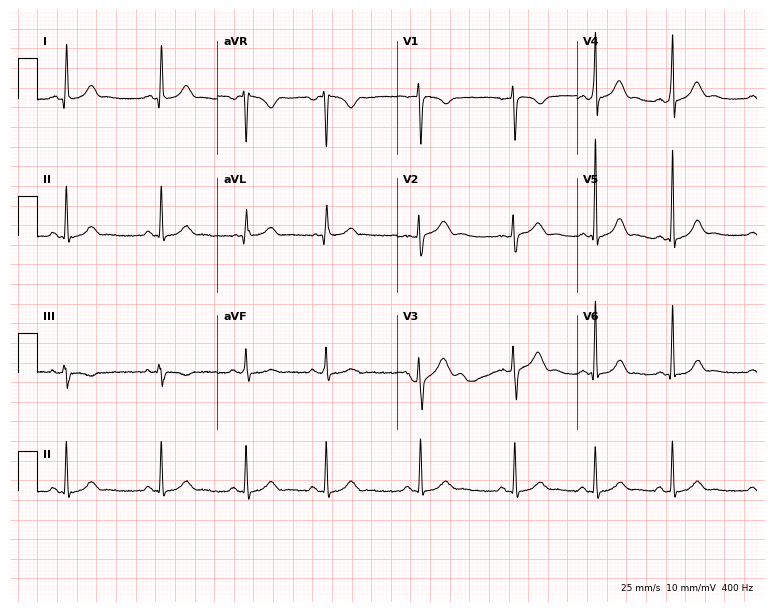
12-lead ECG from a 23-year-old woman. Screened for six findings — first-degree AV block, right bundle branch block, left bundle branch block, sinus bradycardia, atrial fibrillation, sinus tachycardia — none is recorded. Other findings, if any, are not listed.